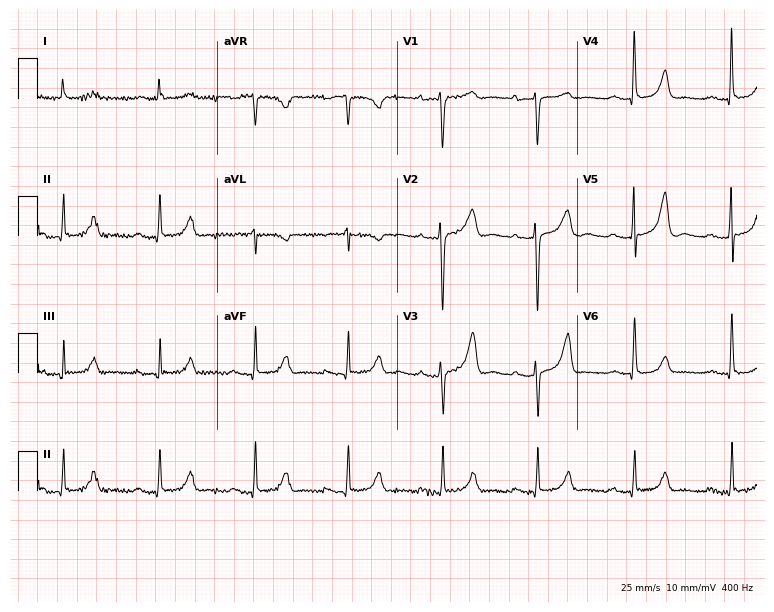
12-lead ECG (7.3-second recording at 400 Hz) from a woman, 73 years old. Labelled as a normal ECG.